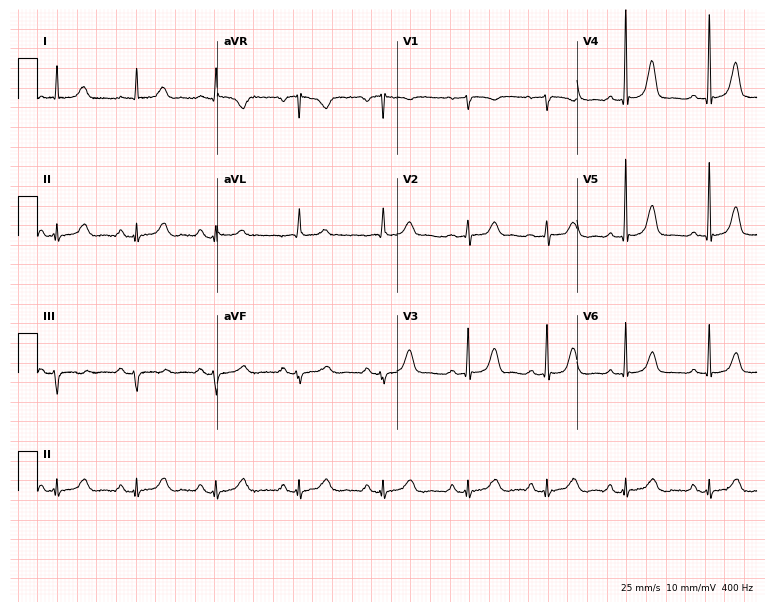
Electrocardiogram (7.3-second recording at 400 Hz), a 59-year-old female. Overall reading on record: normal ECG.